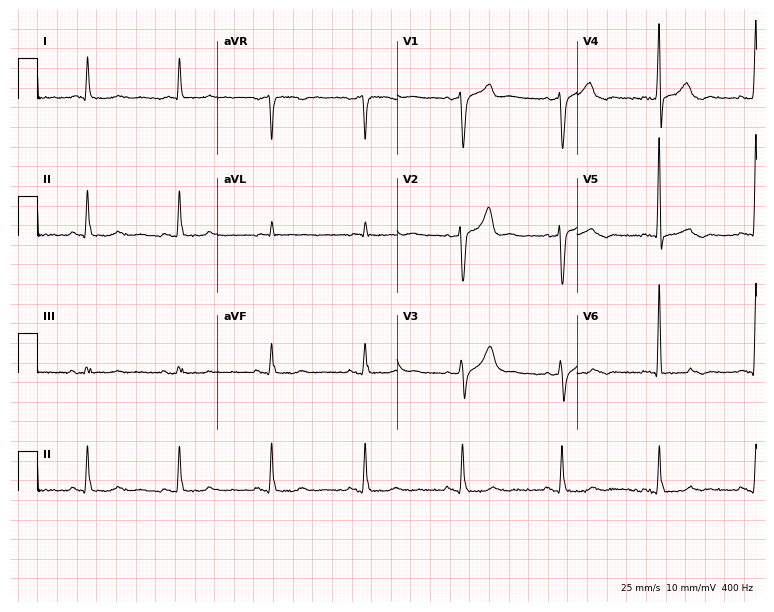
12-lead ECG from a 62-year-old male. Screened for six findings — first-degree AV block, right bundle branch block, left bundle branch block, sinus bradycardia, atrial fibrillation, sinus tachycardia — none is recorded. Findings outside these six are not listed.